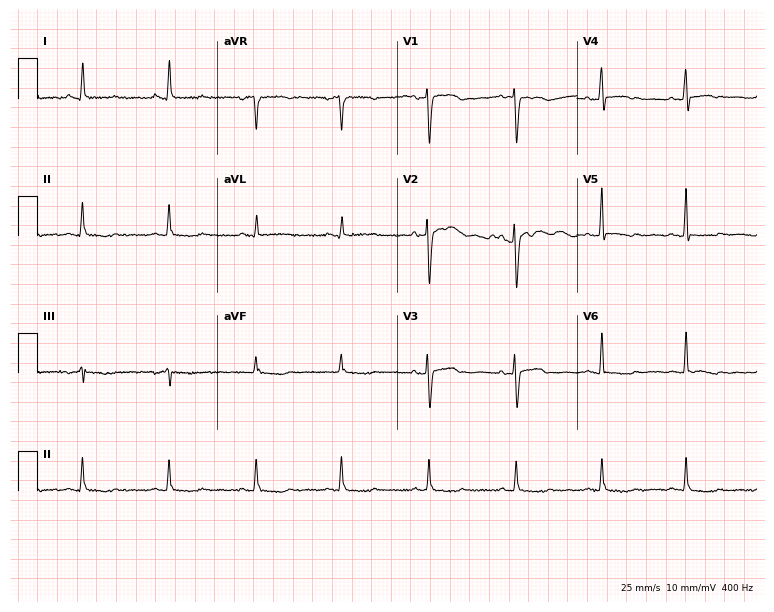
Electrocardiogram (7.3-second recording at 400 Hz), a woman, 58 years old. Of the six screened findings (first-degree AV block, right bundle branch block (RBBB), left bundle branch block (LBBB), sinus bradycardia, atrial fibrillation (AF), sinus tachycardia), none is recorded. Findings outside these six are not listed.